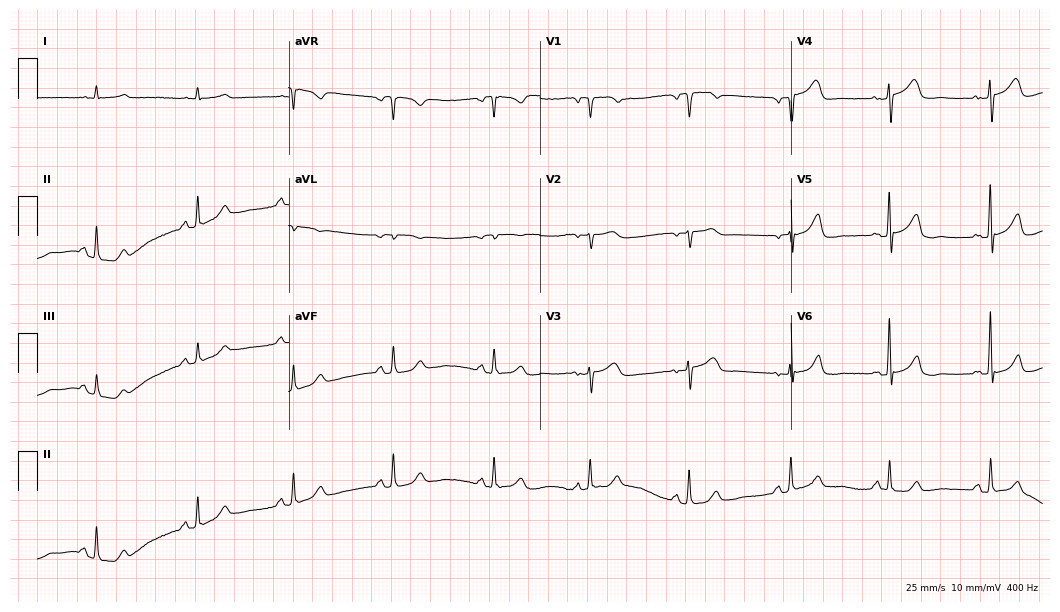
ECG — a female, 81 years old. Screened for six findings — first-degree AV block, right bundle branch block, left bundle branch block, sinus bradycardia, atrial fibrillation, sinus tachycardia — none is recorded. Other findings, if any, are not listed.